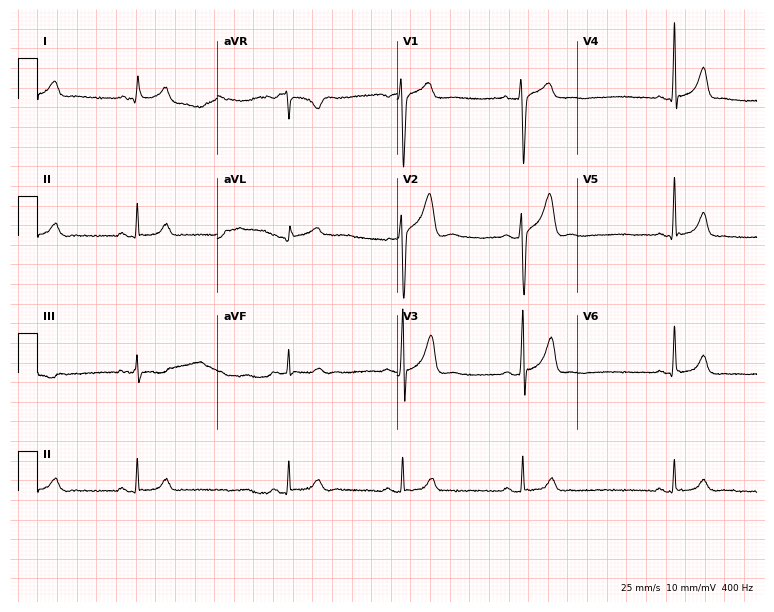
12-lead ECG from a male, 23 years old. Screened for six findings — first-degree AV block, right bundle branch block (RBBB), left bundle branch block (LBBB), sinus bradycardia, atrial fibrillation (AF), sinus tachycardia — none is recorded.